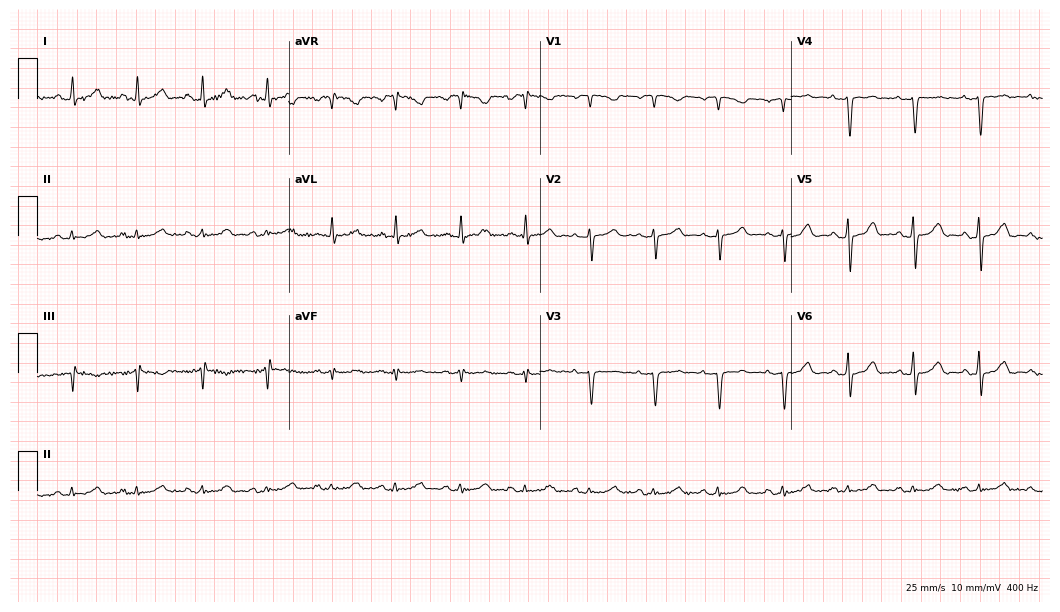
12-lead ECG from a 50-year-old female patient (10.2-second recording at 400 Hz). Recorded interpretation: within normal limits.